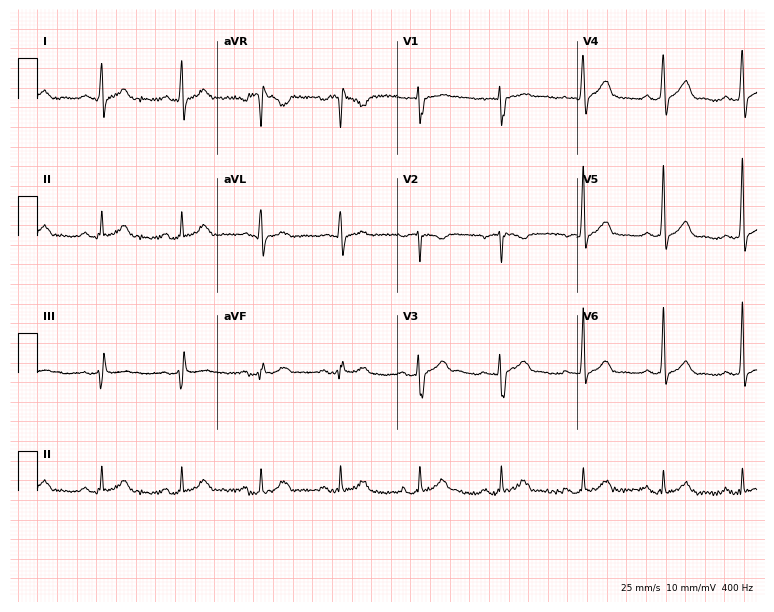
ECG — a 33-year-old man. Screened for six findings — first-degree AV block, right bundle branch block, left bundle branch block, sinus bradycardia, atrial fibrillation, sinus tachycardia — none is recorded.